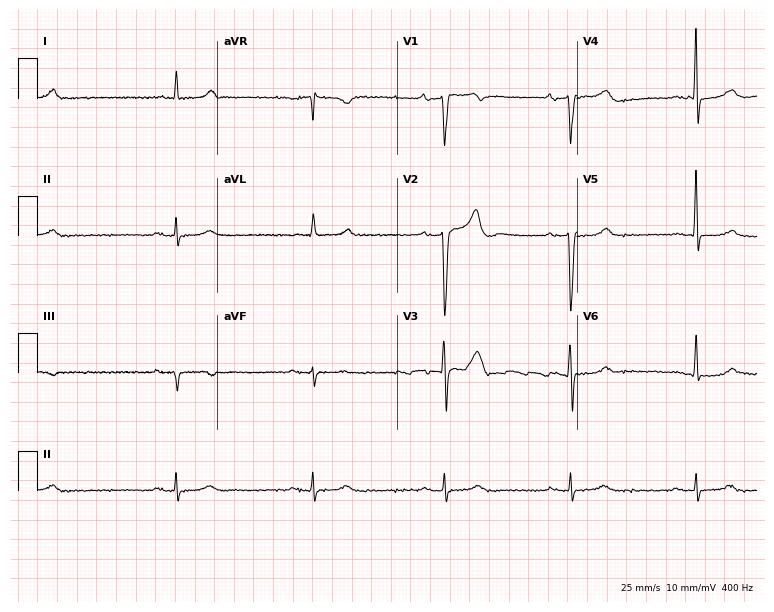
ECG — a male patient, 70 years old. Findings include first-degree AV block, sinus bradycardia (a sinus rate of 50 beats per minute or less).